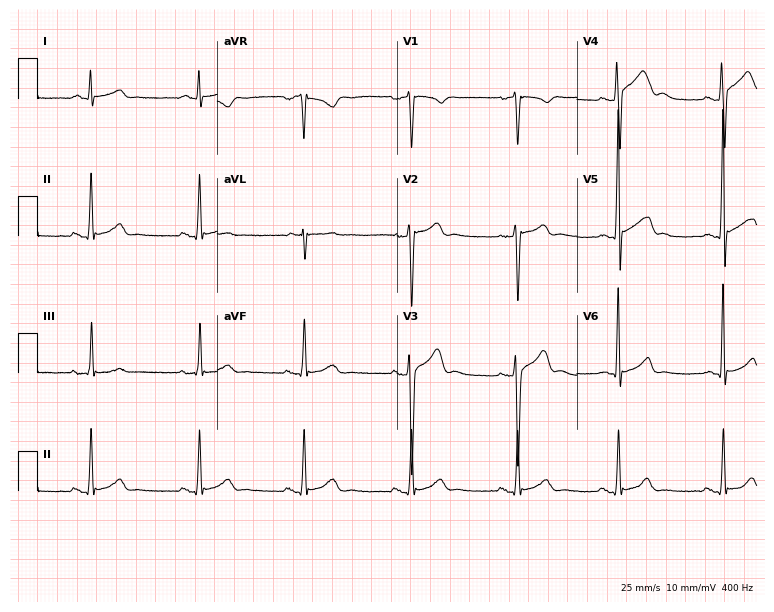
Standard 12-lead ECG recorded from a 27-year-old man. None of these six findings is recorded: first-degree AV block, right bundle branch block (RBBB), left bundle branch block (LBBB), sinus bradycardia, atrial fibrillation (AF), sinus tachycardia.